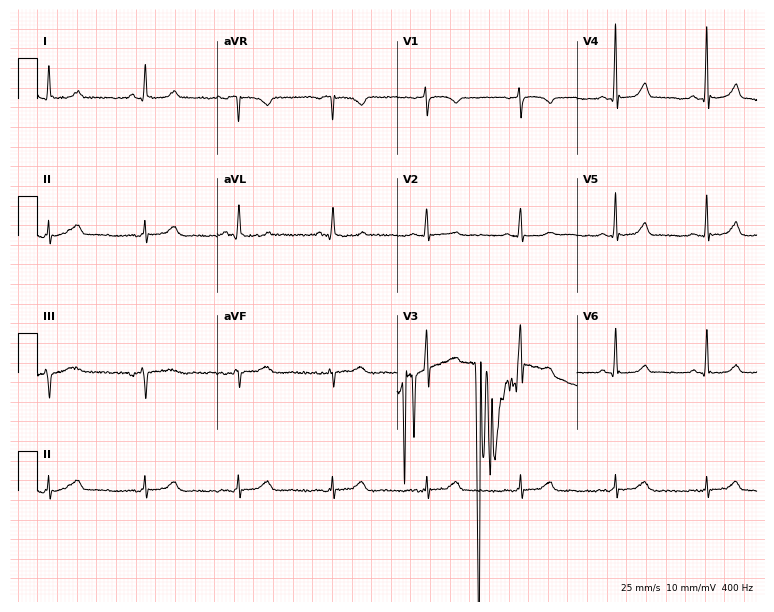
Electrocardiogram (7.3-second recording at 400 Hz), a 72-year-old female. Of the six screened findings (first-degree AV block, right bundle branch block, left bundle branch block, sinus bradycardia, atrial fibrillation, sinus tachycardia), none is recorded.